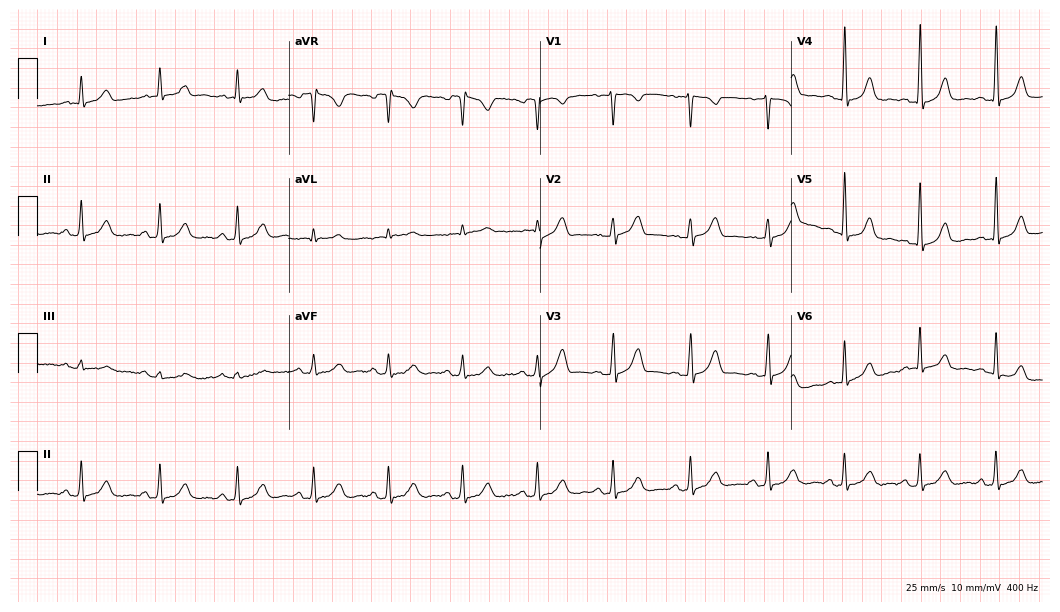
12-lead ECG from a female patient, 38 years old. Recorded interpretation: within normal limits.